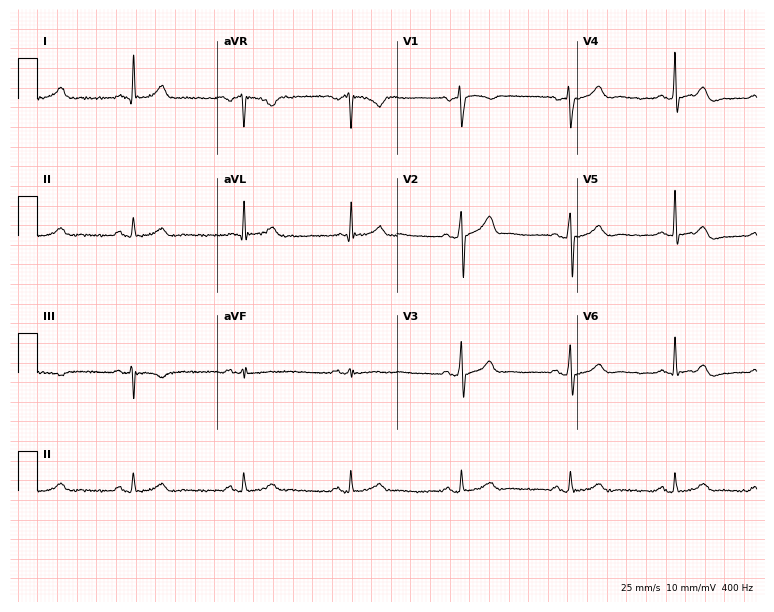
12-lead ECG from a male patient, 49 years old. Labelled as a normal ECG.